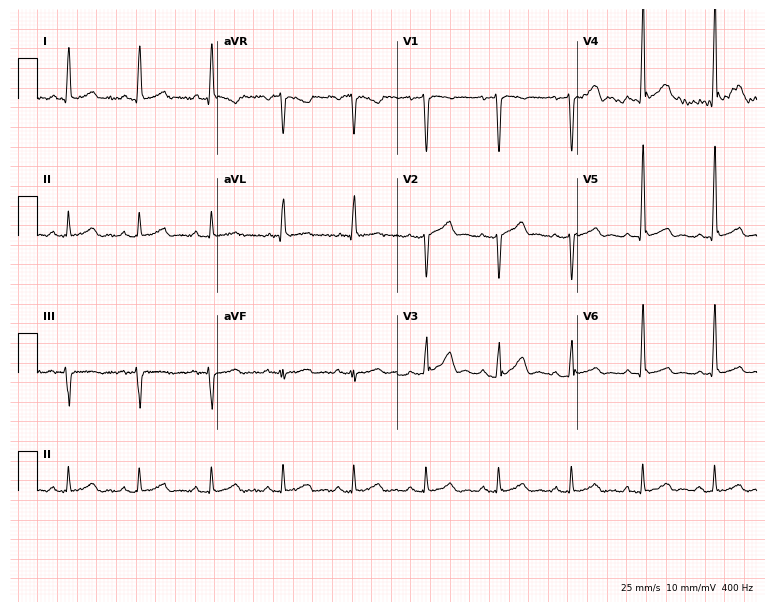
Resting 12-lead electrocardiogram (7.3-second recording at 400 Hz). Patient: a 52-year-old male. Read as a normal ECG.